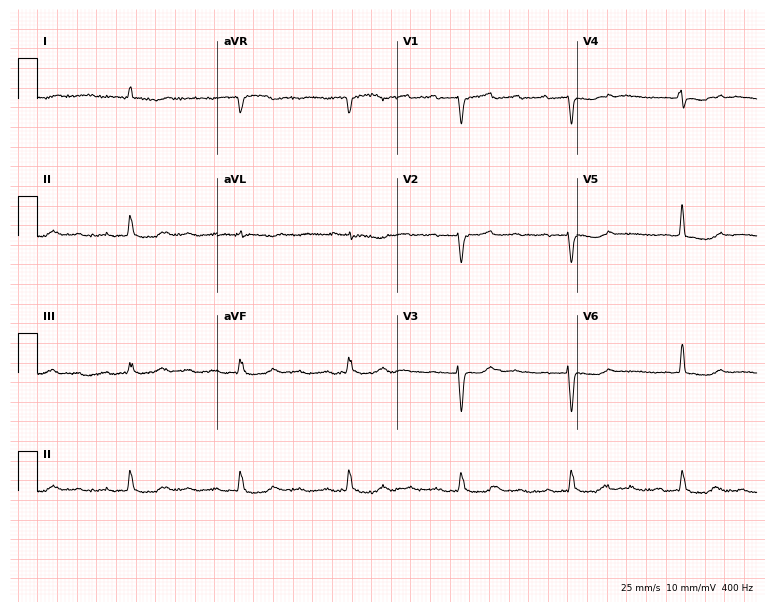
Standard 12-lead ECG recorded from a man, 82 years old (7.3-second recording at 400 Hz). The tracing shows atrial fibrillation.